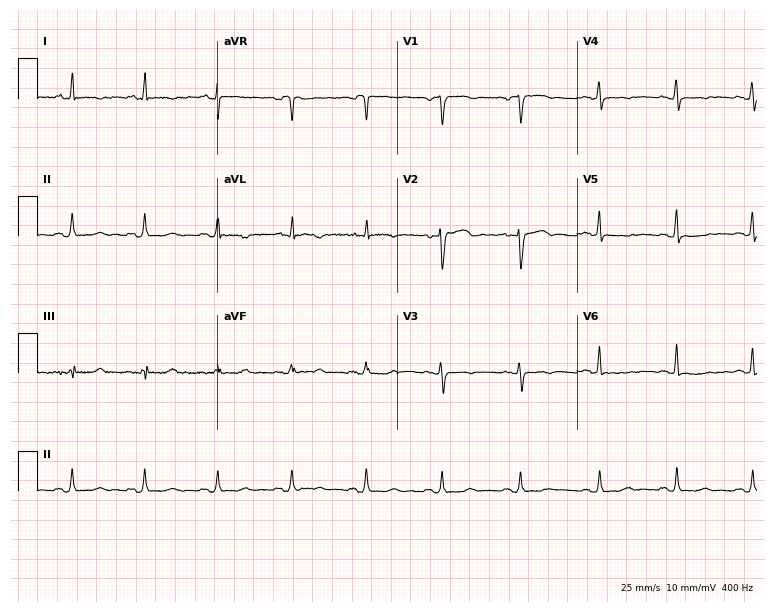
Resting 12-lead electrocardiogram (7.3-second recording at 400 Hz). Patient: a 44-year-old female. None of these six findings is recorded: first-degree AV block, right bundle branch block (RBBB), left bundle branch block (LBBB), sinus bradycardia, atrial fibrillation (AF), sinus tachycardia. Other findings, if any, are not listed.